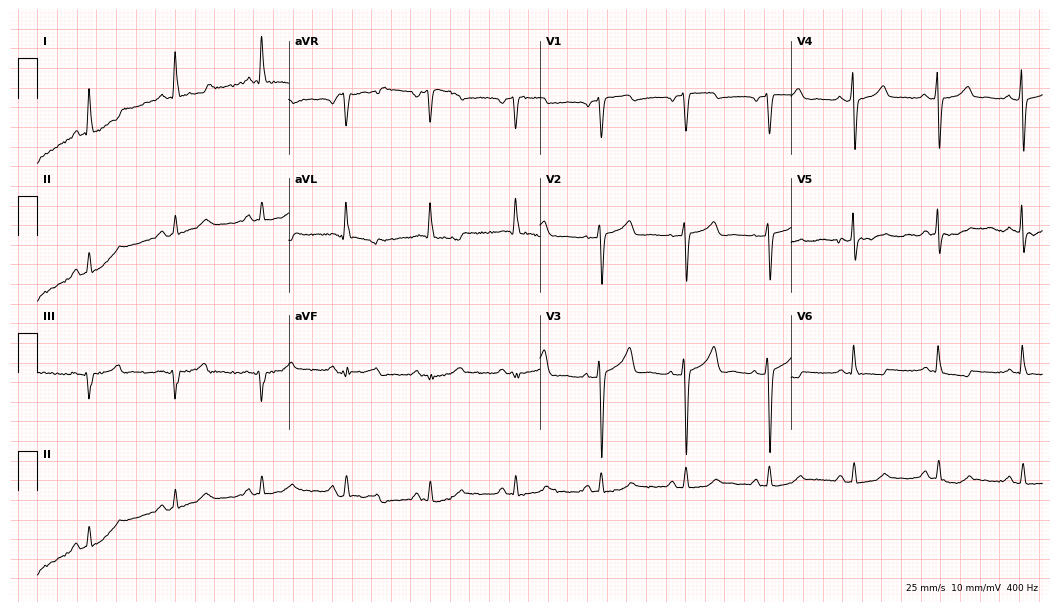
Electrocardiogram, a 56-year-old woman. Overall reading on record: normal ECG.